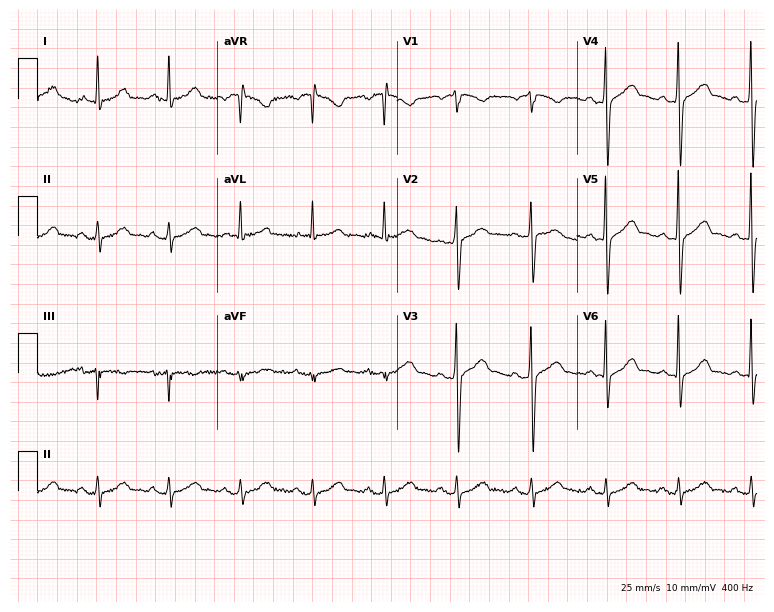
Resting 12-lead electrocardiogram. Patient: a 61-year-old male. None of these six findings is recorded: first-degree AV block, right bundle branch block, left bundle branch block, sinus bradycardia, atrial fibrillation, sinus tachycardia.